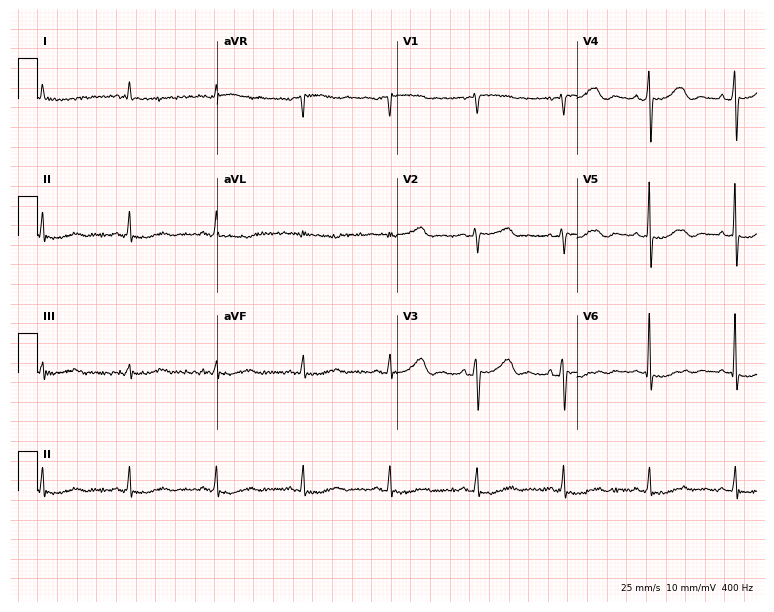
12-lead ECG from an 81-year-old man (7.3-second recording at 400 Hz). No first-degree AV block, right bundle branch block (RBBB), left bundle branch block (LBBB), sinus bradycardia, atrial fibrillation (AF) or sinus tachycardia recorded for this tracing. Findings outside these six are not listed.